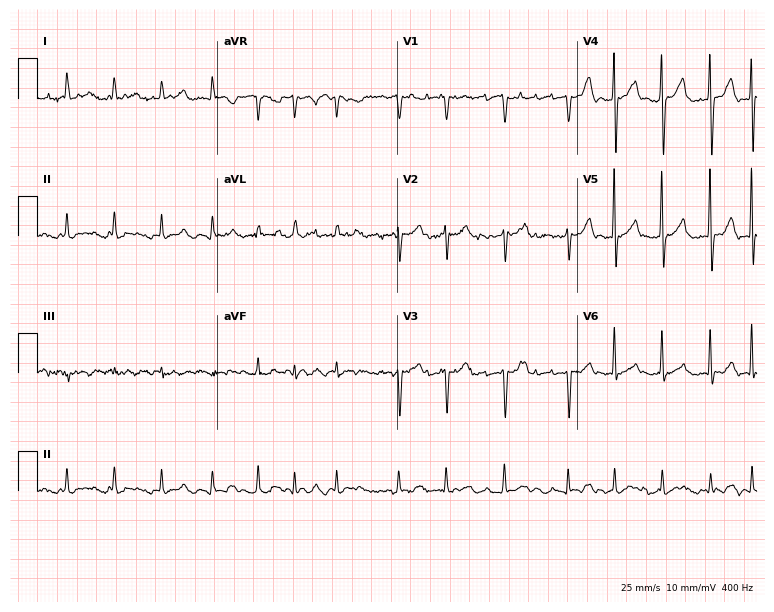
Resting 12-lead electrocardiogram (7.3-second recording at 400 Hz). Patient: a female, 64 years old. The tracing shows atrial fibrillation.